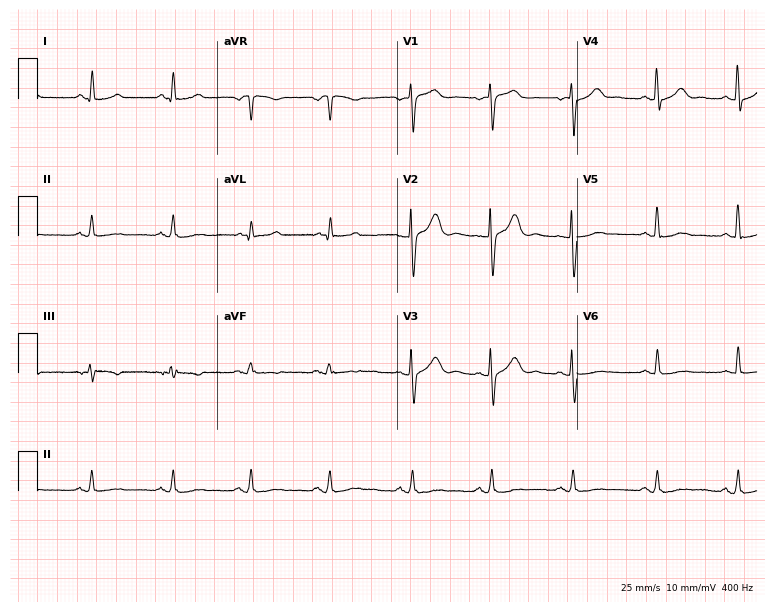
Resting 12-lead electrocardiogram. Patient: a woman, 75 years old. None of these six findings is recorded: first-degree AV block, right bundle branch block, left bundle branch block, sinus bradycardia, atrial fibrillation, sinus tachycardia. Other findings, if any, are not listed.